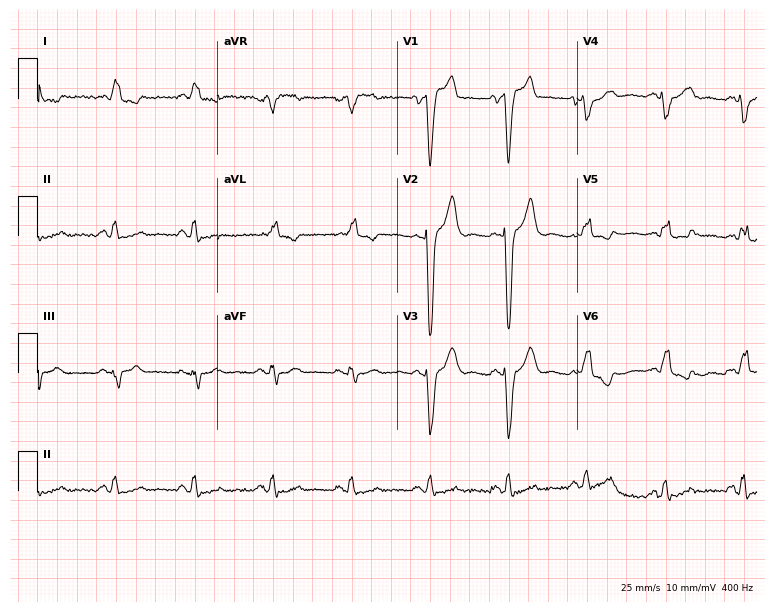
ECG (7.3-second recording at 400 Hz) — an 81-year-old male. Findings include left bundle branch block (LBBB).